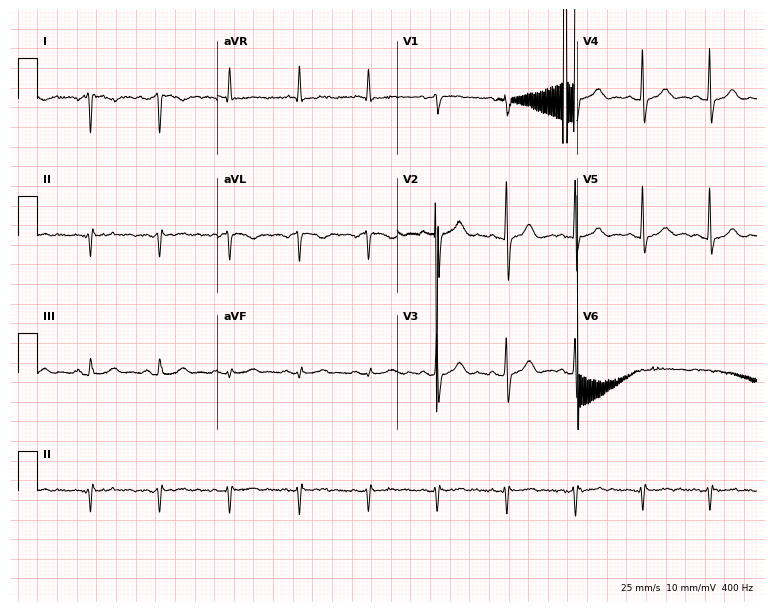
12-lead ECG from a 69-year-old male patient. Screened for six findings — first-degree AV block, right bundle branch block (RBBB), left bundle branch block (LBBB), sinus bradycardia, atrial fibrillation (AF), sinus tachycardia — none is recorded.